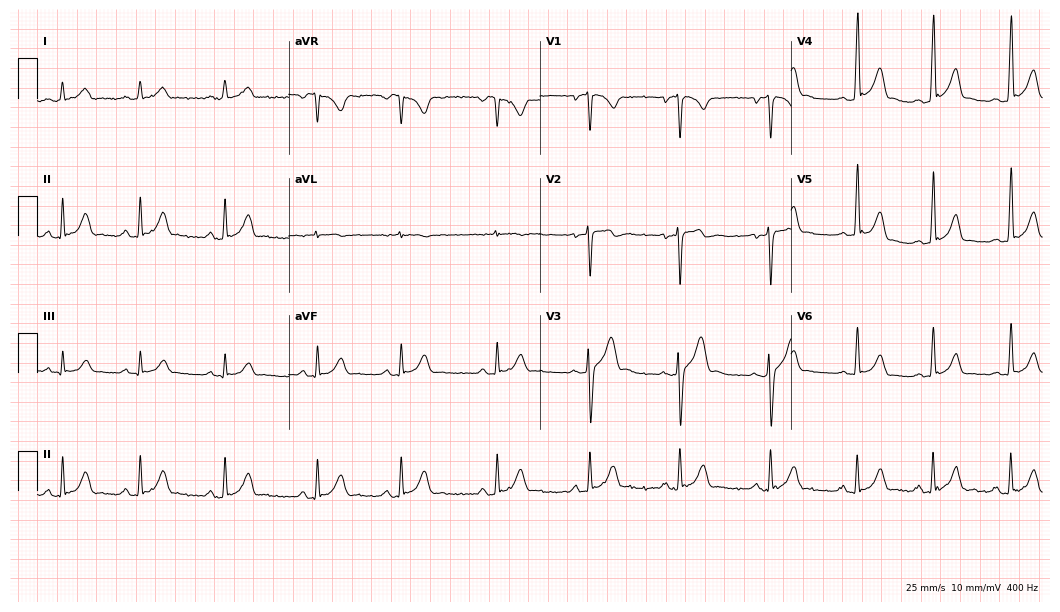
Standard 12-lead ECG recorded from a male, 27 years old. None of these six findings is recorded: first-degree AV block, right bundle branch block, left bundle branch block, sinus bradycardia, atrial fibrillation, sinus tachycardia. Findings outside these six are not listed.